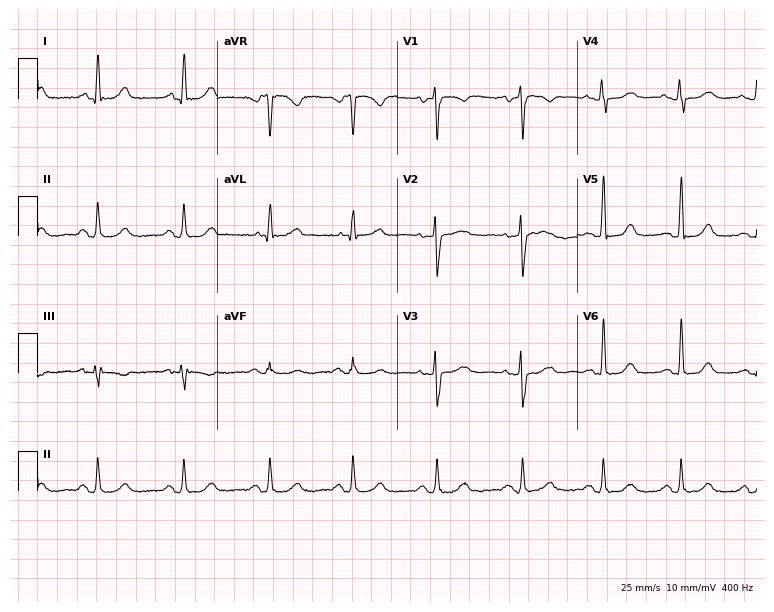
Resting 12-lead electrocardiogram (7.3-second recording at 400 Hz). Patient: a woman, 55 years old. Read as a normal ECG.